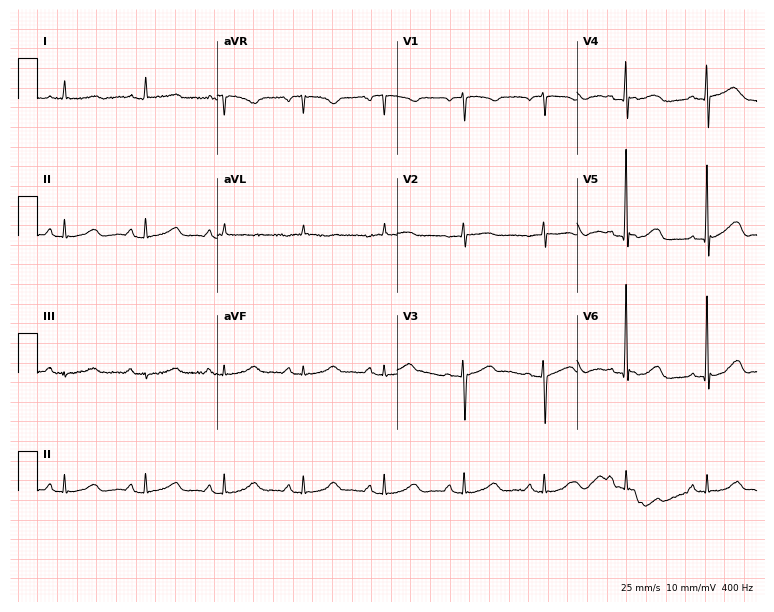
Resting 12-lead electrocardiogram (7.3-second recording at 400 Hz). Patient: an 84-year-old female. Read as a normal ECG.